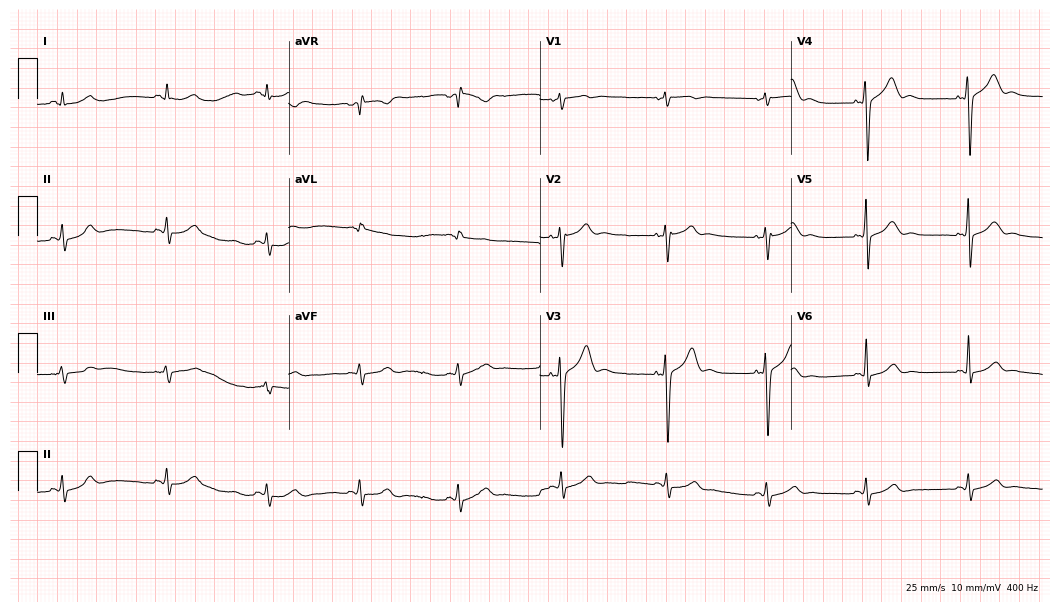
12-lead ECG (10.2-second recording at 400 Hz) from a 43-year-old male patient. Labelled as a normal ECG.